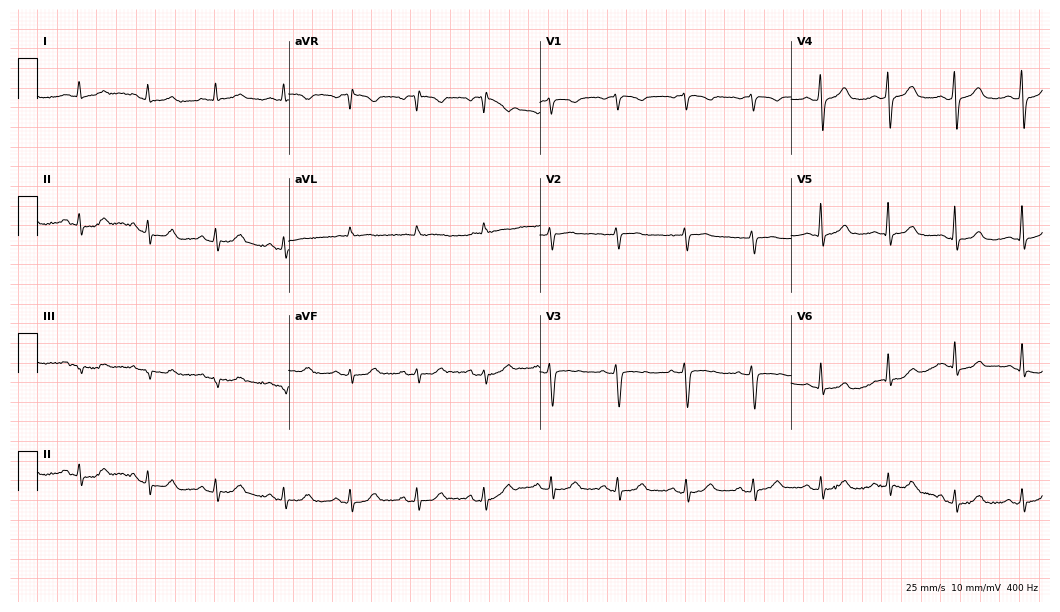
Standard 12-lead ECG recorded from a female patient, 77 years old. None of these six findings is recorded: first-degree AV block, right bundle branch block, left bundle branch block, sinus bradycardia, atrial fibrillation, sinus tachycardia.